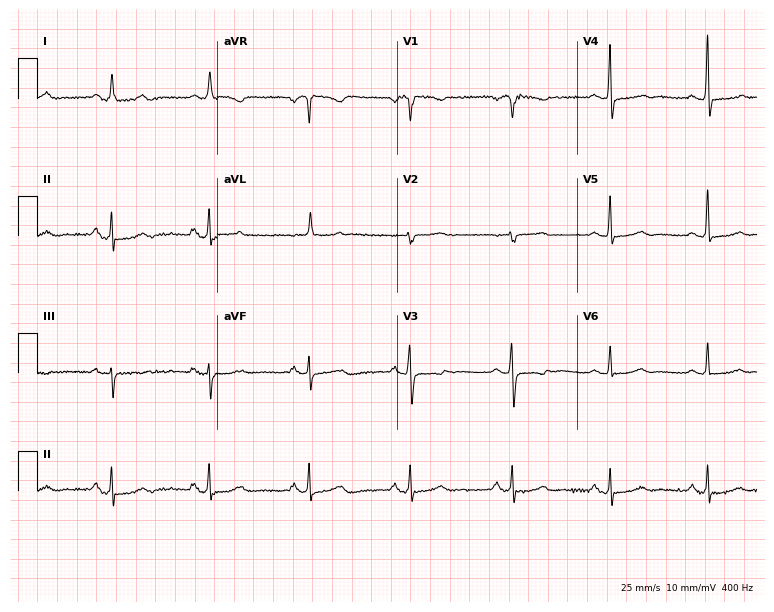
ECG (7.3-second recording at 400 Hz) — a female patient, 70 years old. Screened for six findings — first-degree AV block, right bundle branch block, left bundle branch block, sinus bradycardia, atrial fibrillation, sinus tachycardia — none is recorded. Other findings, if any, are not listed.